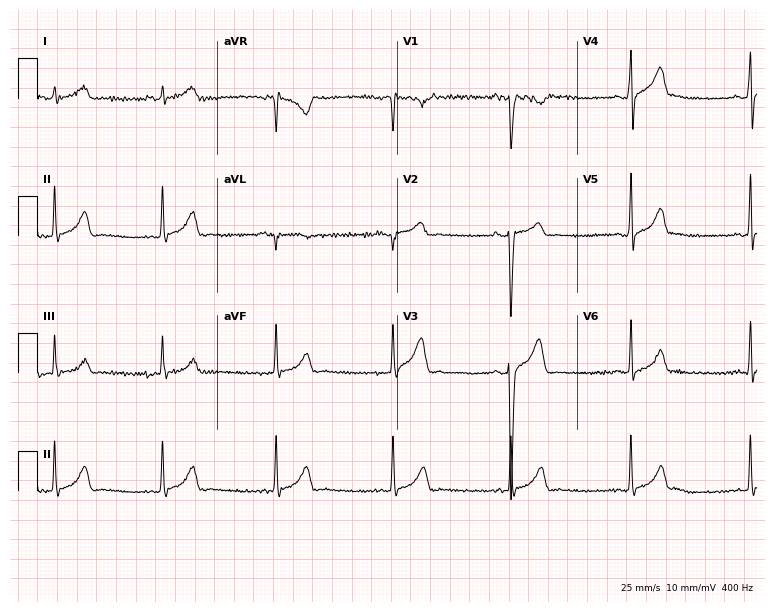
Standard 12-lead ECG recorded from a man, 20 years old (7.3-second recording at 400 Hz). None of these six findings is recorded: first-degree AV block, right bundle branch block (RBBB), left bundle branch block (LBBB), sinus bradycardia, atrial fibrillation (AF), sinus tachycardia.